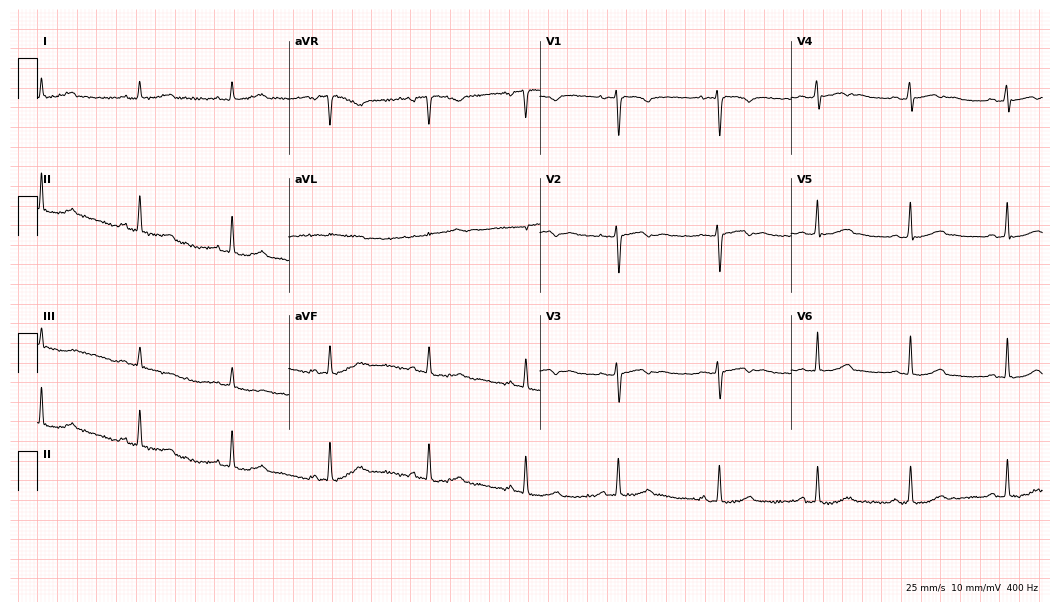
12-lead ECG from a 32-year-old female. Screened for six findings — first-degree AV block, right bundle branch block, left bundle branch block, sinus bradycardia, atrial fibrillation, sinus tachycardia — none is recorded. Findings outside these six are not listed.